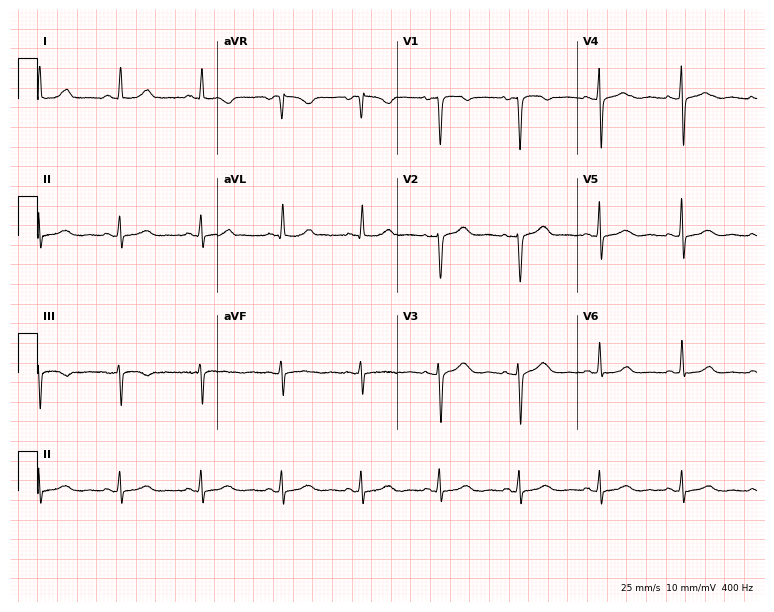
Standard 12-lead ECG recorded from a female patient, 60 years old. Read as a normal ECG.